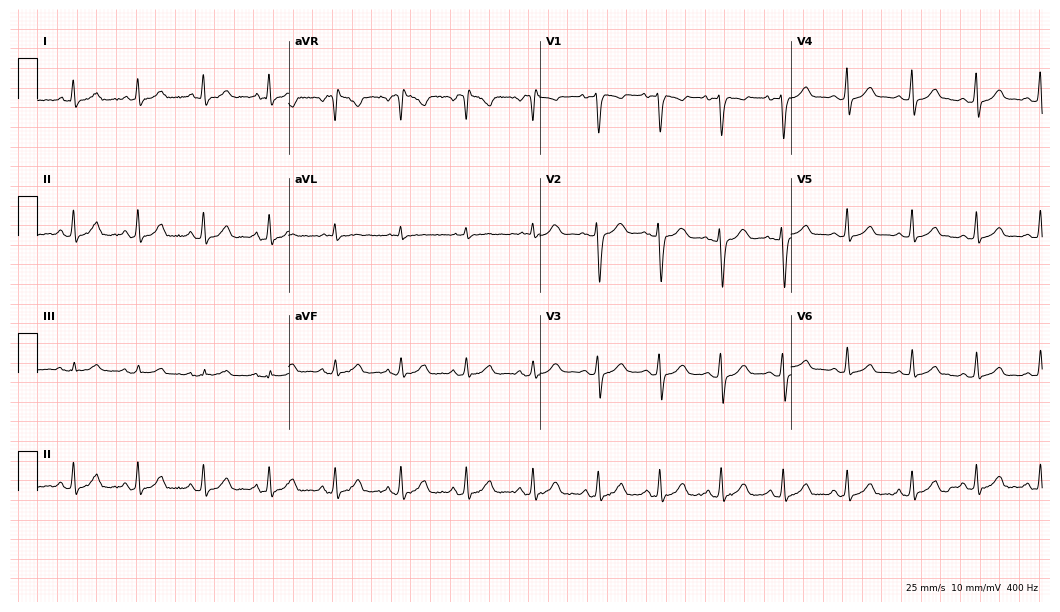
12-lead ECG (10.2-second recording at 400 Hz) from an 18-year-old female. Labelled as a normal ECG.